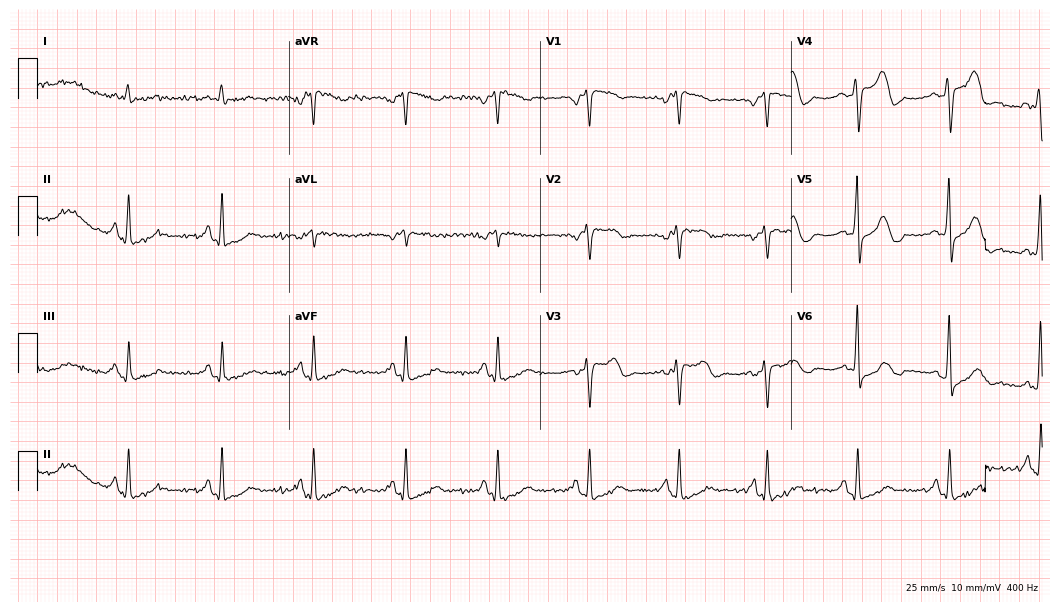
Standard 12-lead ECG recorded from a 75-year-old male patient. None of these six findings is recorded: first-degree AV block, right bundle branch block, left bundle branch block, sinus bradycardia, atrial fibrillation, sinus tachycardia.